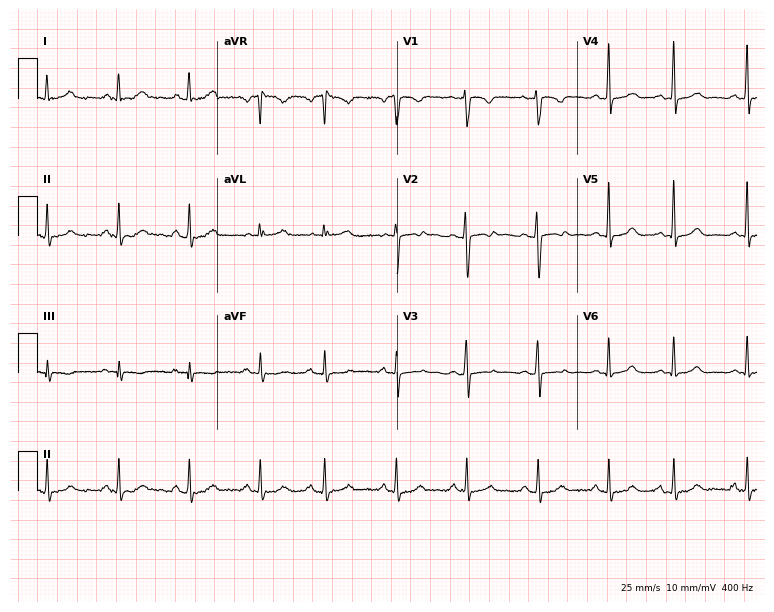
Resting 12-lead electrocardiogram (7.3-second recording at 400 Hz). Patient: a woman, 26 years old. None of these six findings is recorded: first-degree AV block, right bundle branch block, left bundle branch block, sinus bradycardia, atrial fibrillation, sinus tachycardia.